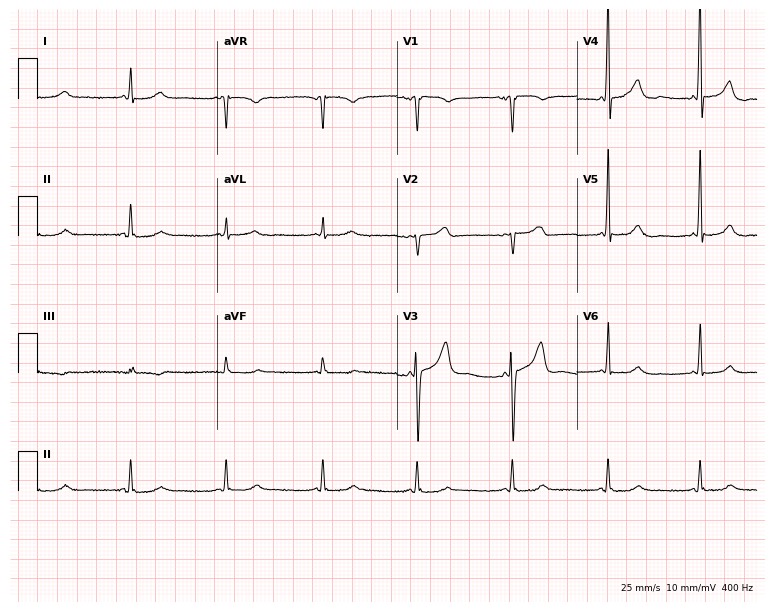
Resting 12-lead electrocardiogram. Patient: a male, 77 years old. None of these six findings is recorded: first-degree AV block, right bundle branch block, left bundle branch block, sinus bradycardia, atrial fibrillation, sinus tachycardia. Only these six findings were labelled.